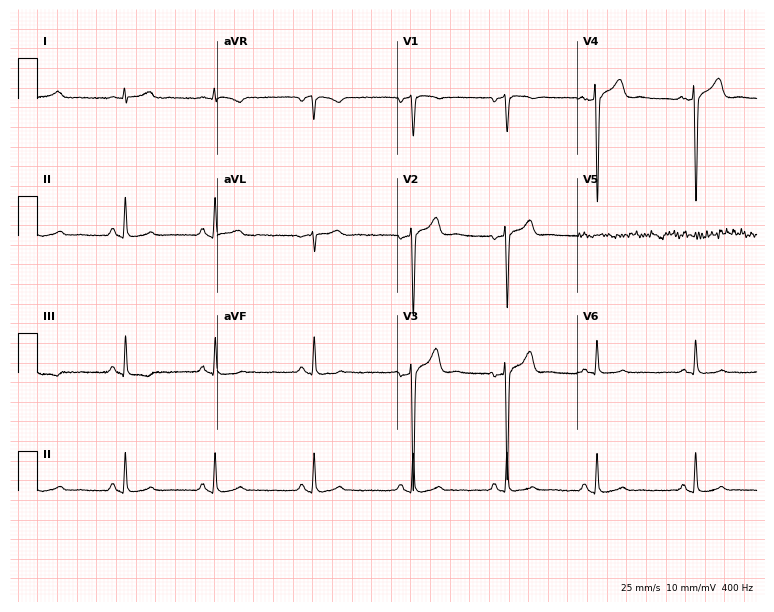
Resting 12-lead electrocardiogram (7.3-second recording at 400 Hz). Patient: a man, 57 years old. None of these six findings is recorded: first-degree AV block, right bundle branch block (RBBB), left bundle branch block (LBBB), sinus bradycardia, atrial fibrillation (AF), sinus tachycardia.